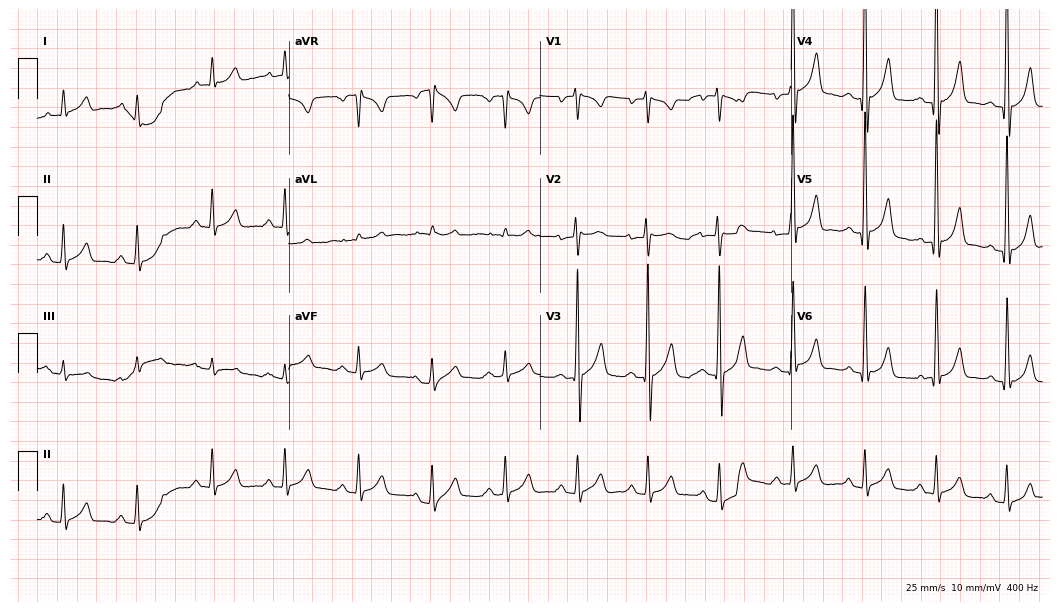
Resting 12-lead electrocardiogram. Patient: a 36-year-old male. None of these six findings is recorded: first-degree AV block, right bundle branch block, left bundle branch block, sinus bradycardia, atrial fibrillation, sinus tachycardia. Findings outside these six are not listed.